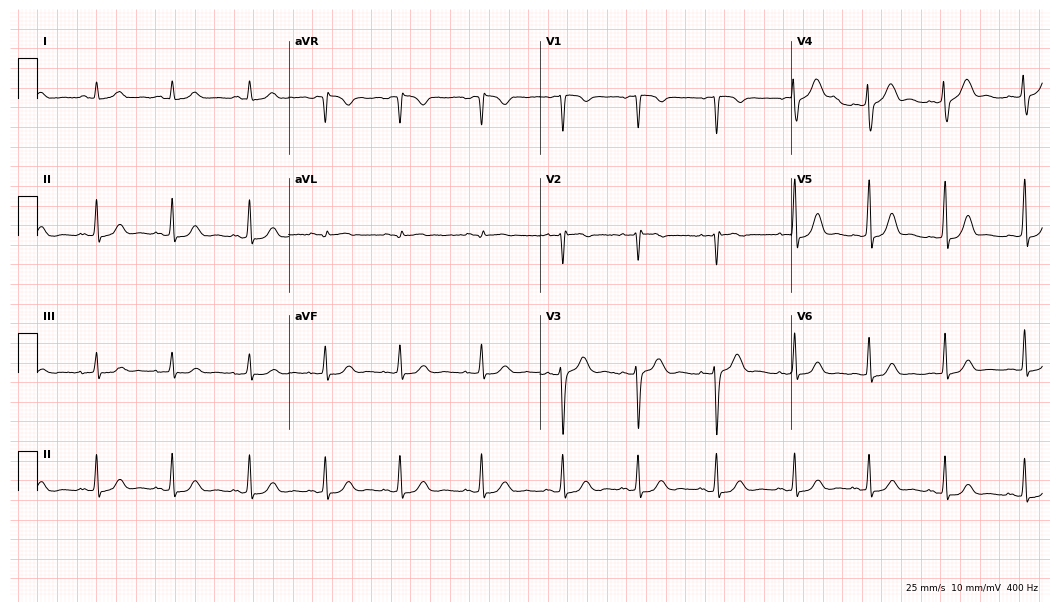
ECG (10.2-second recording at 400 Hz) — a female, 33 years old. Screened for six findings — first-degree AV block, right bundle branch block (RBBB), left bundle branch block (LBBB), sinus bradycardia, atrial fibrillation (AF), sinus tachycardia — none is recorded. Findings outside these six are not listed.